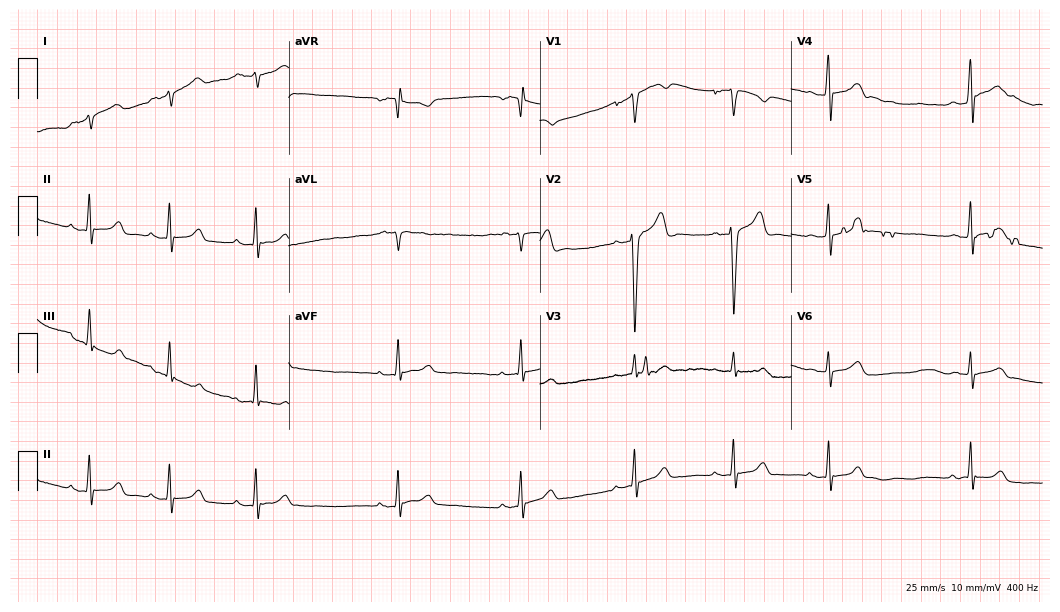
Resting 12-lead electrocardiogram (10.2-second recording at 400 Hz). Patient: a 22-year-old male. None of these six findings is recorded: first-degree AV block, right bundle branch block, left bundle branch block, sinus bradycardia, atrial fibrillation, sinus tachycardia. Only these six findings were labelled.